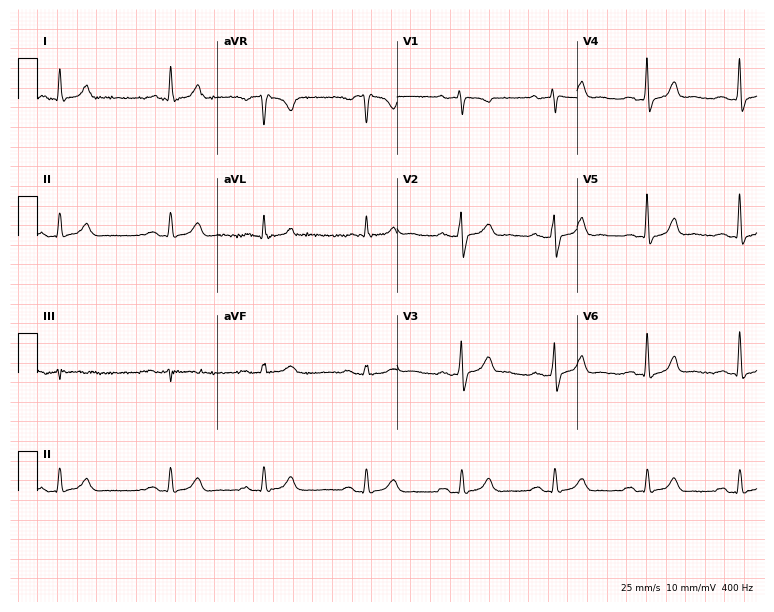
Electrocardiogram, a 62-year-old male patient. Overall reading on record: normal ECG.